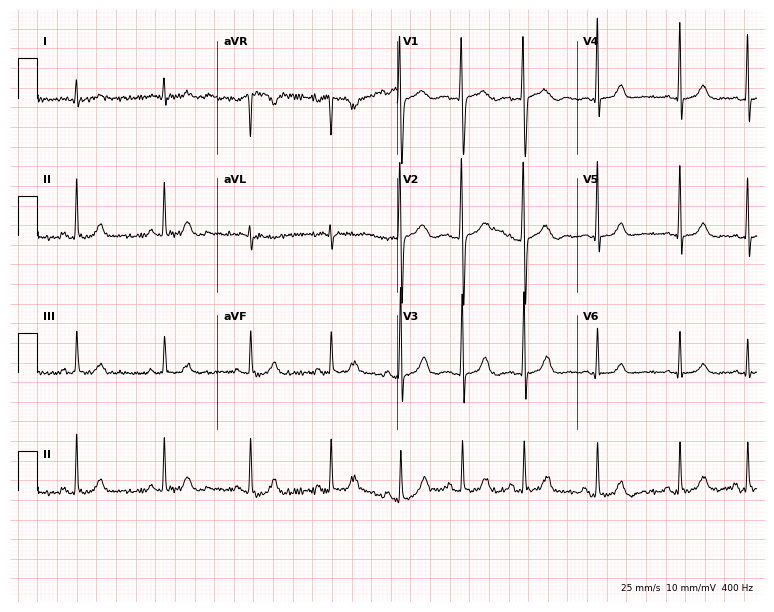
ECG — a female patient, 18 years old. Labelled as a normal ECG.